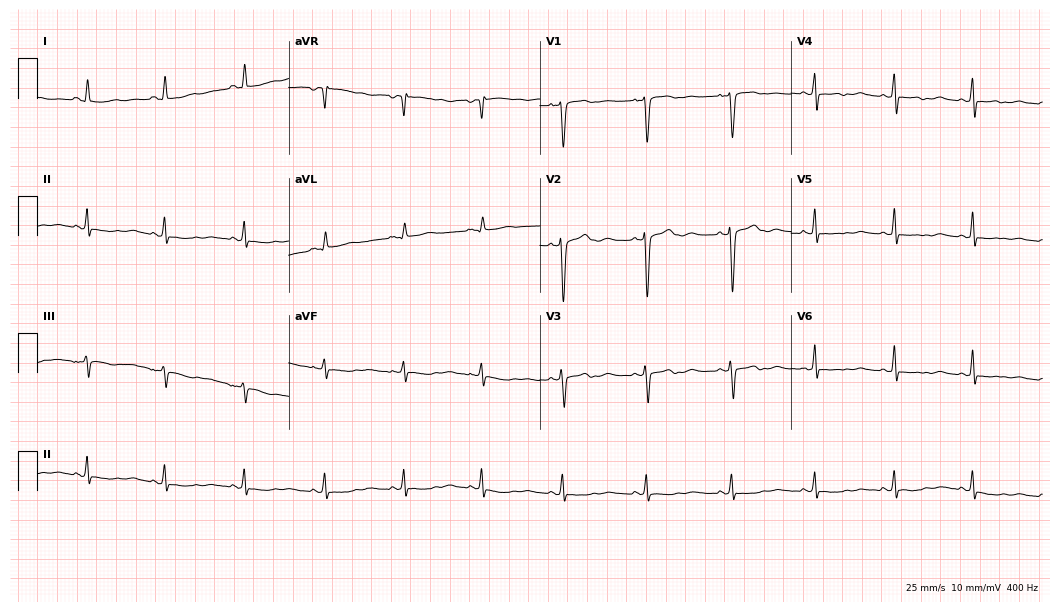
12-lead ECG from a female patient, 47 years old. Screened for six findings — first-degree AV block, right bundle branch block, left bundle branch block, sinus bradycardia, atrial fibrillation, sinus tachycardia — none is recorded.